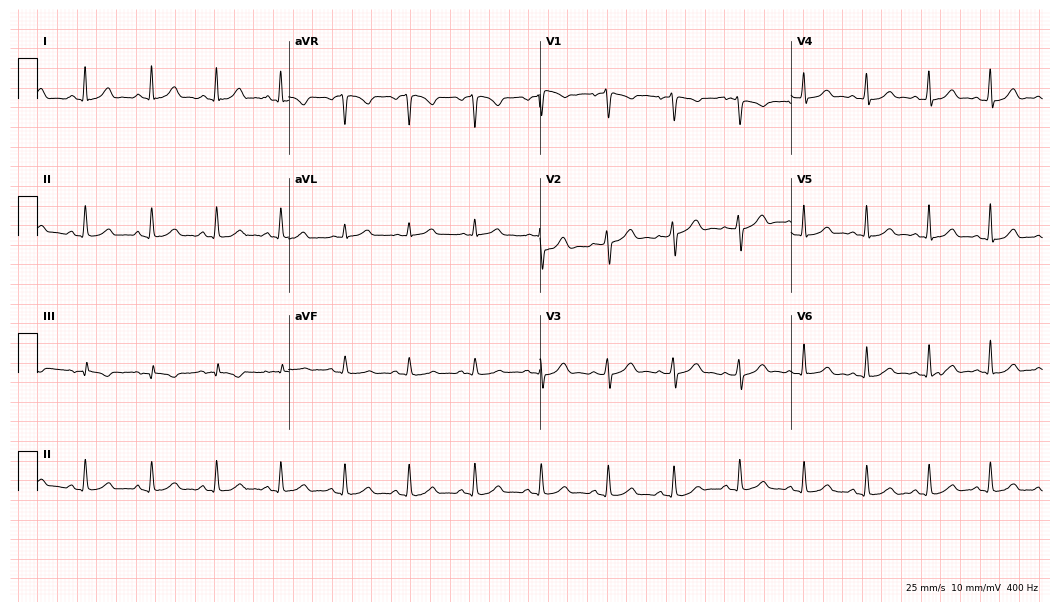
12-lead ECG from a woman, 41 years old (10.2-second recording at 400 Hz). Recorded interpretation: within normal limits.